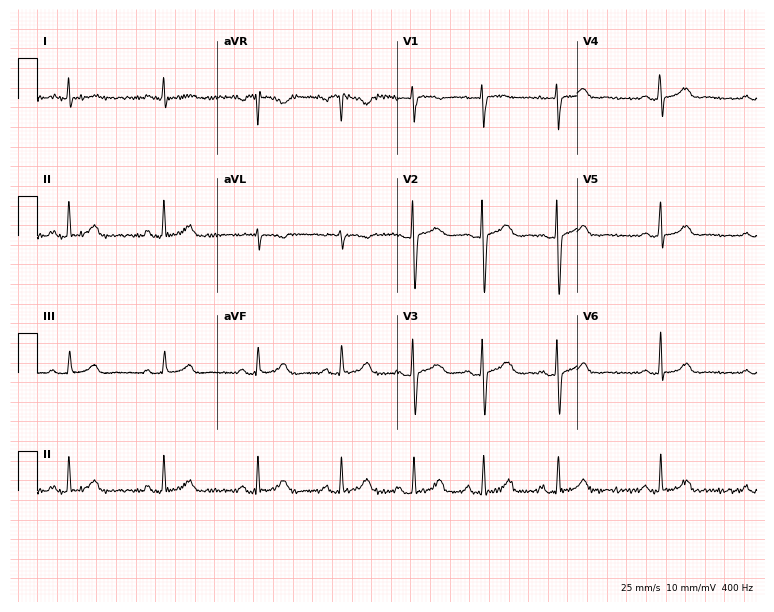
12-lead ECG from a female, 17 years old. No first-degree AV block, right bundle branch block, left bundle branch block, sinus bradycardia, atrial fibrillation or sinus tachycardia recorded for this tracing.